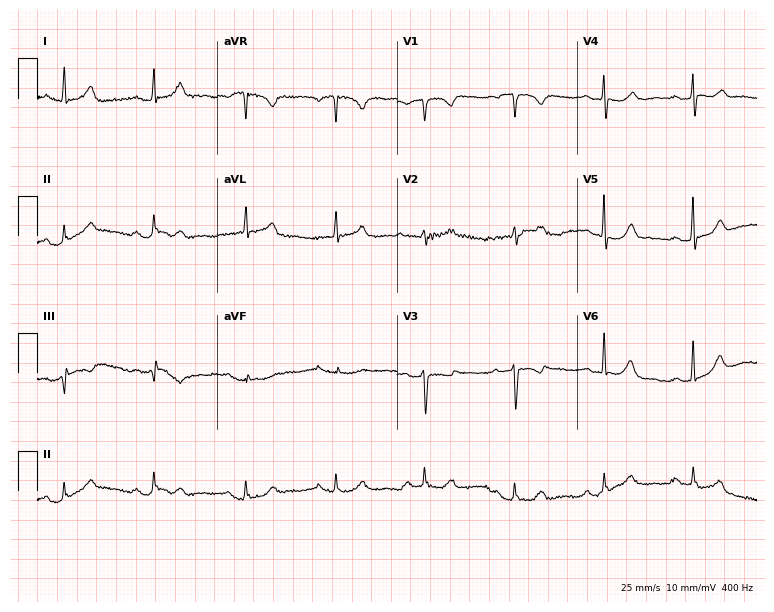
12-lead ECG from a female patient, 67 years old. Screened for six findings — first-degree AV block, right bundle branch block, left bundle branch block, sinus bradycardia, atrial fibrillation, sinus tachycardia — none is recorded. Only these six findings were labelled.